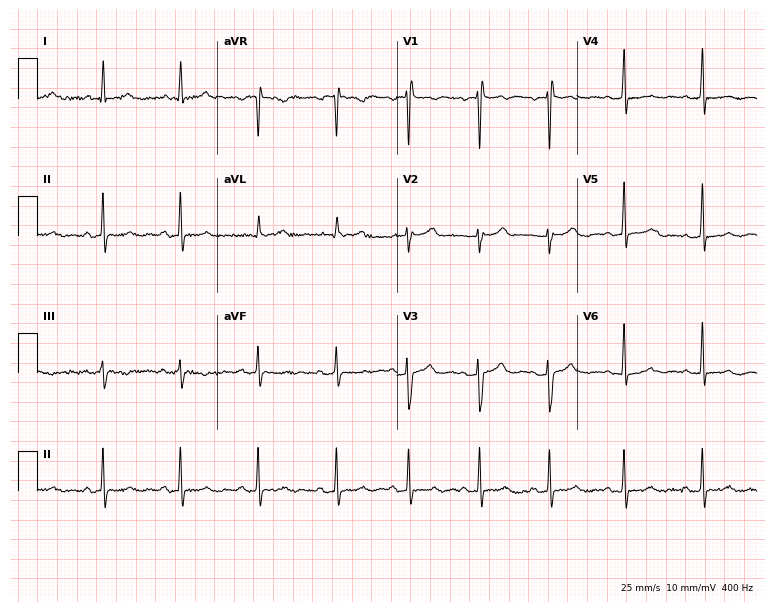
12-lead ECG from a female, 32 years old. No first-degree AV block, right bundle branch block, left bundle branch block, sinus bradycardia, atrial fibrillation or sinus tachycardia recorded for this tracing.